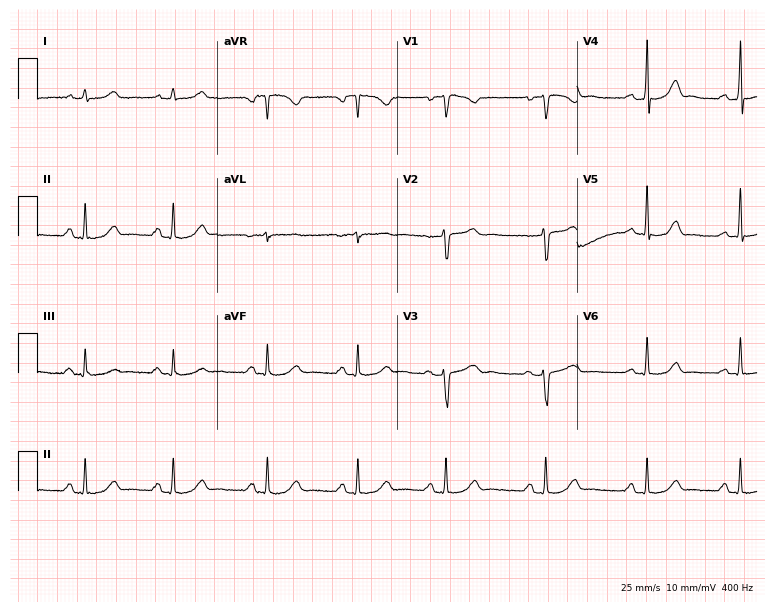
ECG (7.3-second recording at 400 Hz) — a female patient, 37 years old. Labelled as a normal ECG.